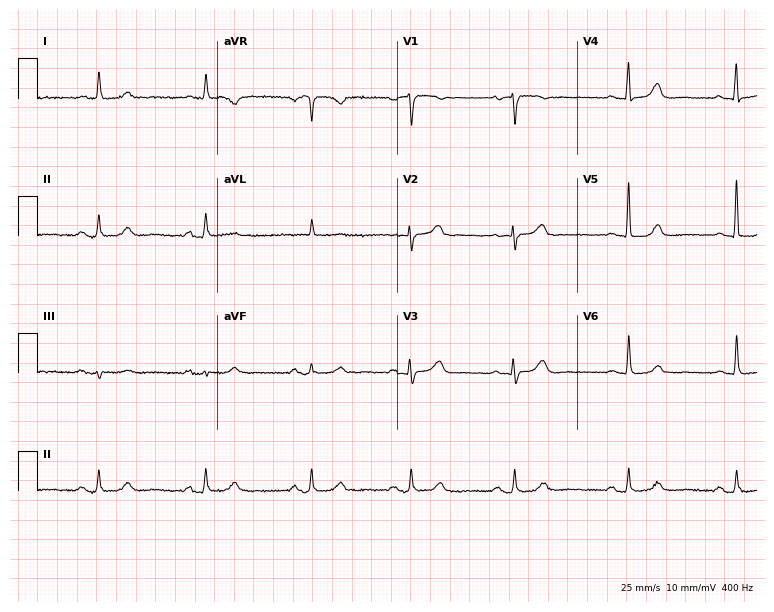
12-lead ECG from an 83-year-old female patient. Labelled as a normal ECG.